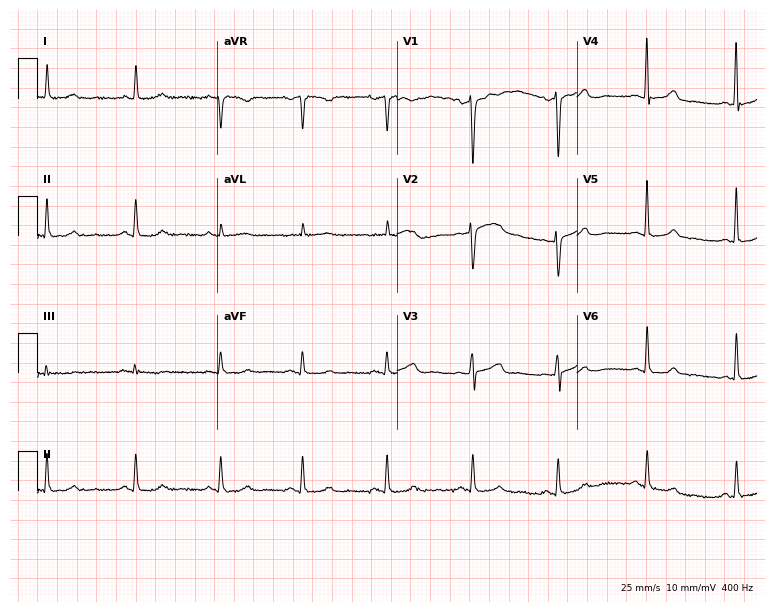
Electrocardiogram, a 48-year-old woman. Of the six screened findings (first-degree AV block, right bundle branch block, left bundle branch block, sinus bradycardia, atrial fibrillation, sinus tachycardia), none is recorded. Other findings, if any, are not listed.